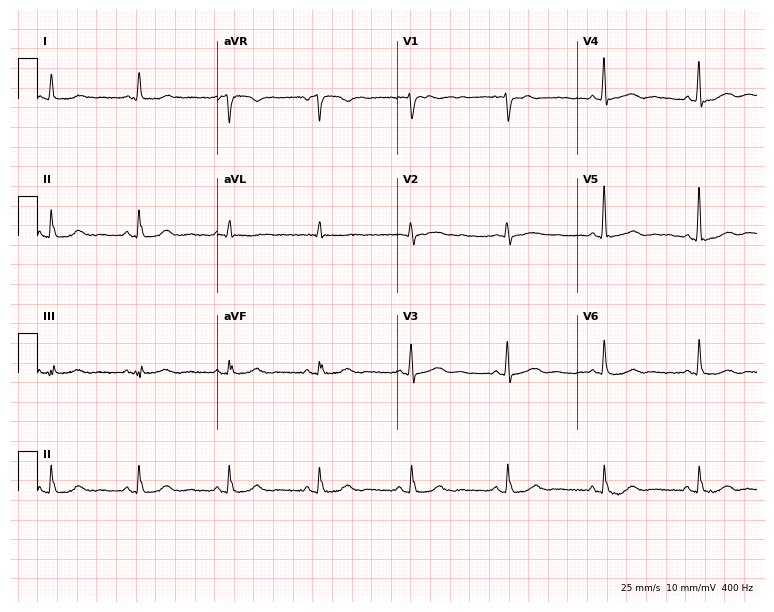
12-lead ECG from an 84-year-old female patient. Labelled as a normal ECG.